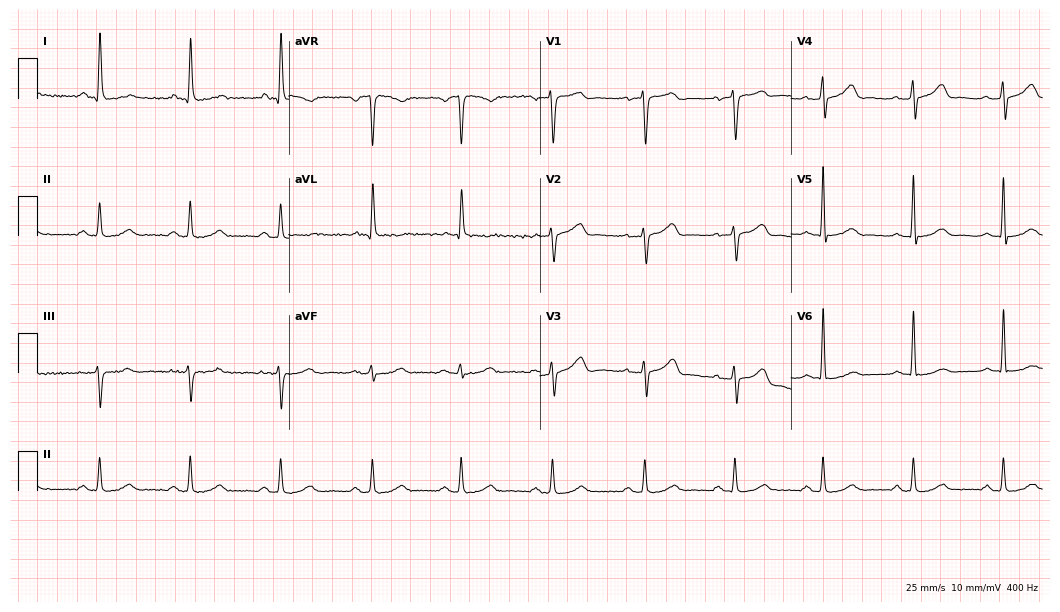
Standard 12-lead ECG recorded from a 59-year-old female patient (10.2-second recording at 400 Hz). Read as a normal ECG.